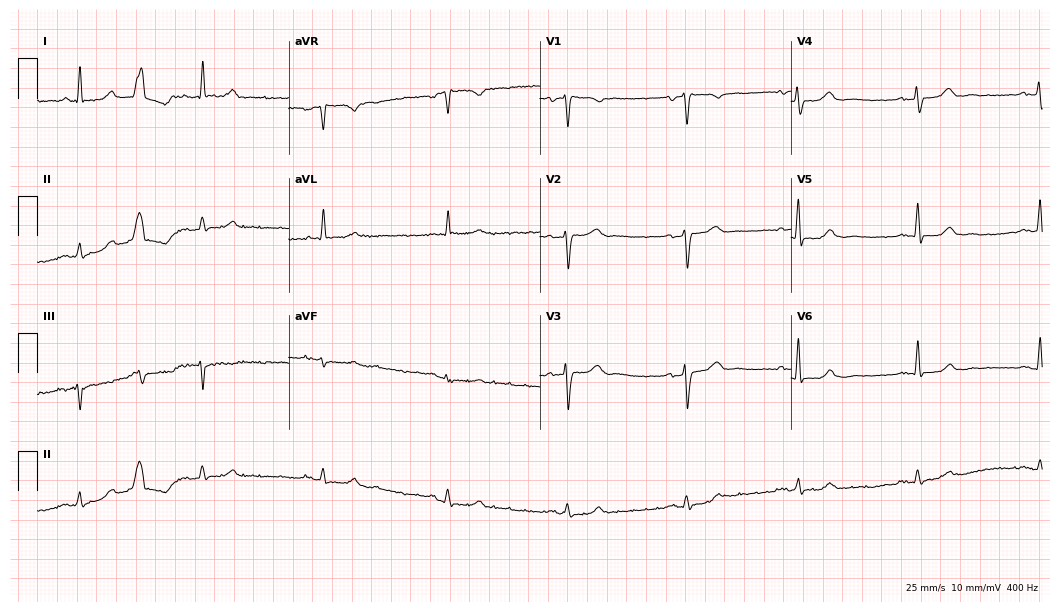
Standard 12-lead ECG recorded from a 76-year-old male. The tracing shows sinus bradycardia (a sinus rate of 50 beats per minute or less).